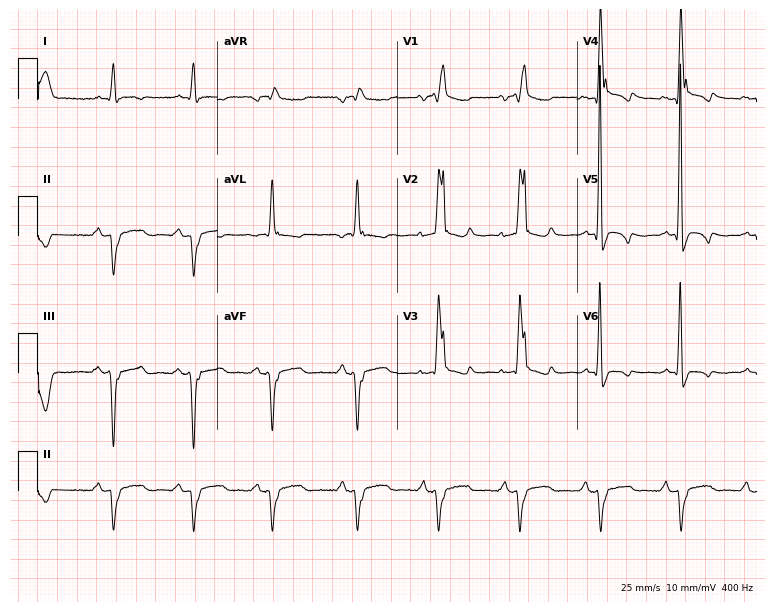
12-lead ECG from a 53-year-old male patient (7.3-second recording at 400 Hz). Shows right bundle branch block.